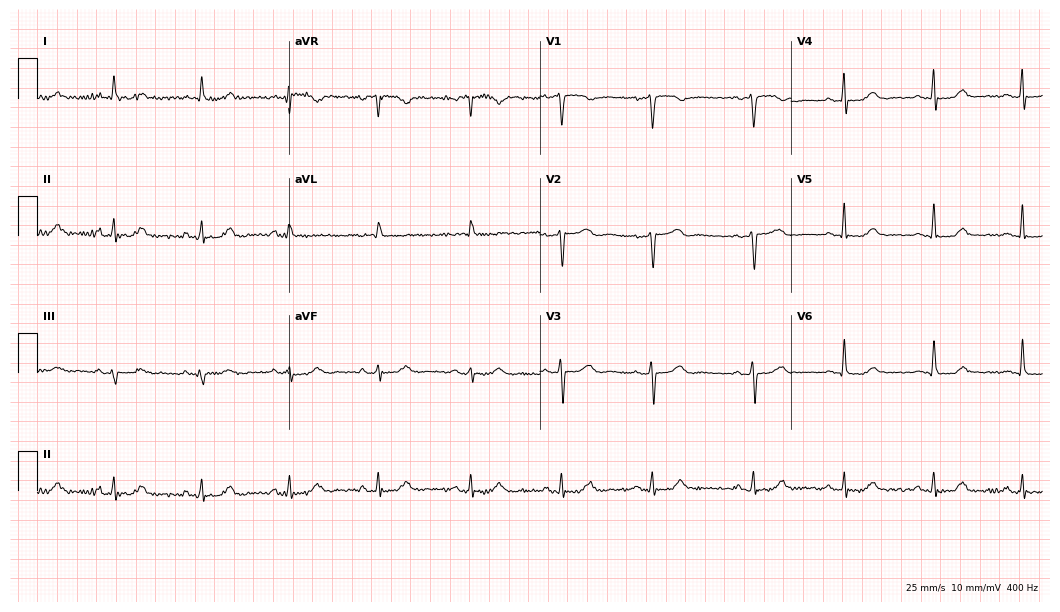
Electrocardiogram (10.2-second recording at 400 Hz), a female patient, 71 years old. Of the six screened findings (first-degree AV block, right bundle branch block (RBBB), left bundle branch block (LBBB), sinus bradycardia, atrial fibrillation (AF), sinus tachycardia), none is recorded. Findings outside these six are not listed.